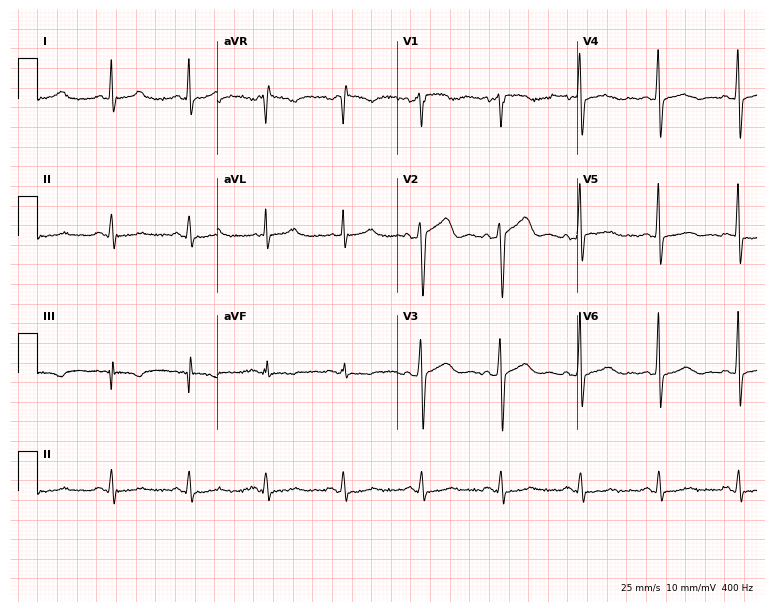
Standard 12-lead ECG recorded from a man, 61 years old (7.3-second recording at 400 Hz). None of these six findings is recorded: first-degree AV block, right bundle branch block, left bundle branch block, sinus bradycardia, atrial fibrillation, sinus tachycardia. Only these six findings were labelled.